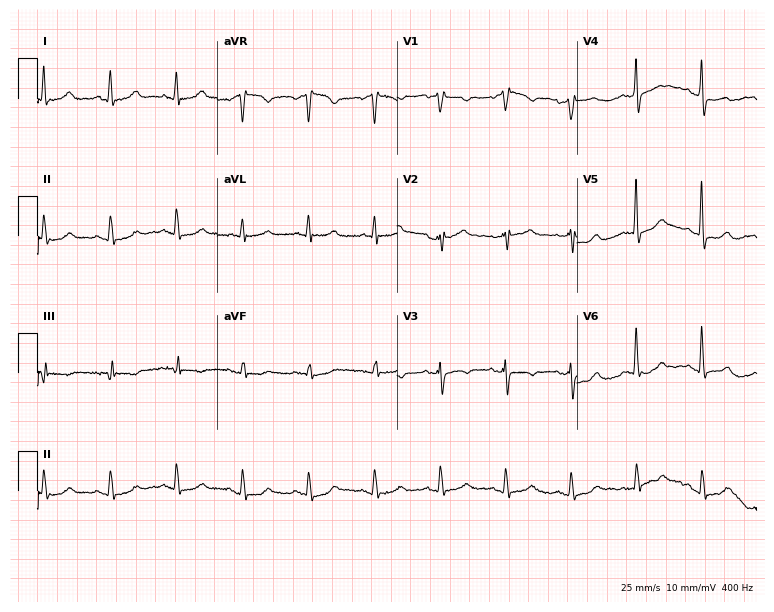
Standard 12-lead ECG recorded from a 57-year-old female patient (7.3-second recording at 400 Hz). None of these six findings is recorded: first-degree AV block, right bundle branch block, left bundle branch block, sinus bradycardia, atrial fibrillation, sinus tachycardia. Only these six findings were labelled.